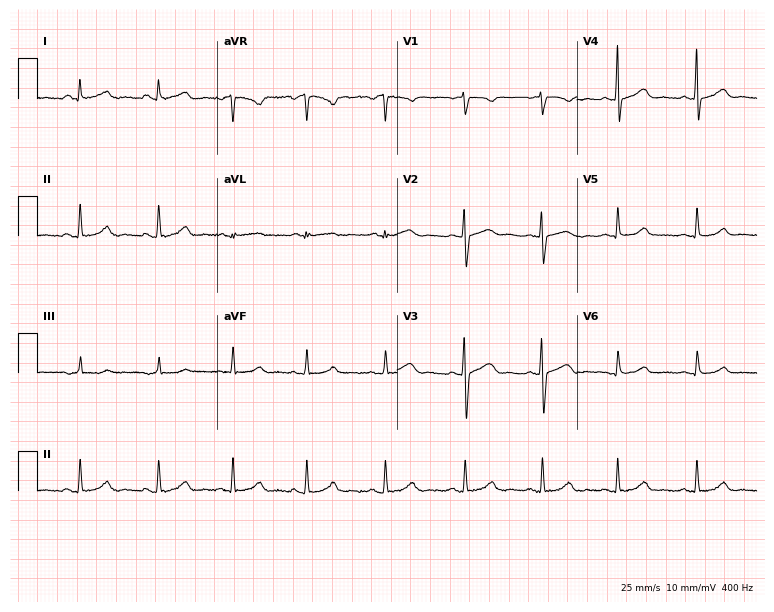
ECG (7.3-second recording at 400 Hz) — a 34-year-old female patient. Labelled as a normal ECG.